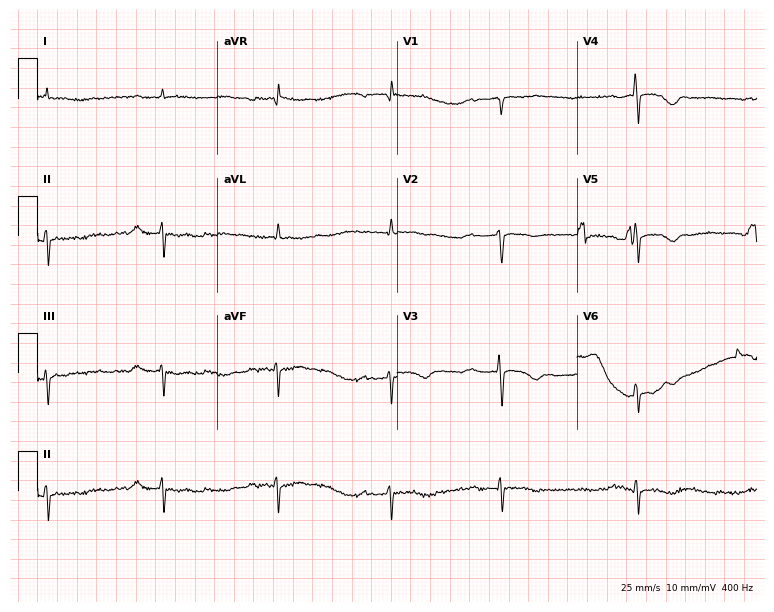
12-lead ECG from a 78-year-old female. No first-degree AV block, right bundle branch block, left bundle branch block, sinus bradycardia, atrial fibrillation or sinus tachycardia recorded for this tracing. Other findings, if any, are not listed.